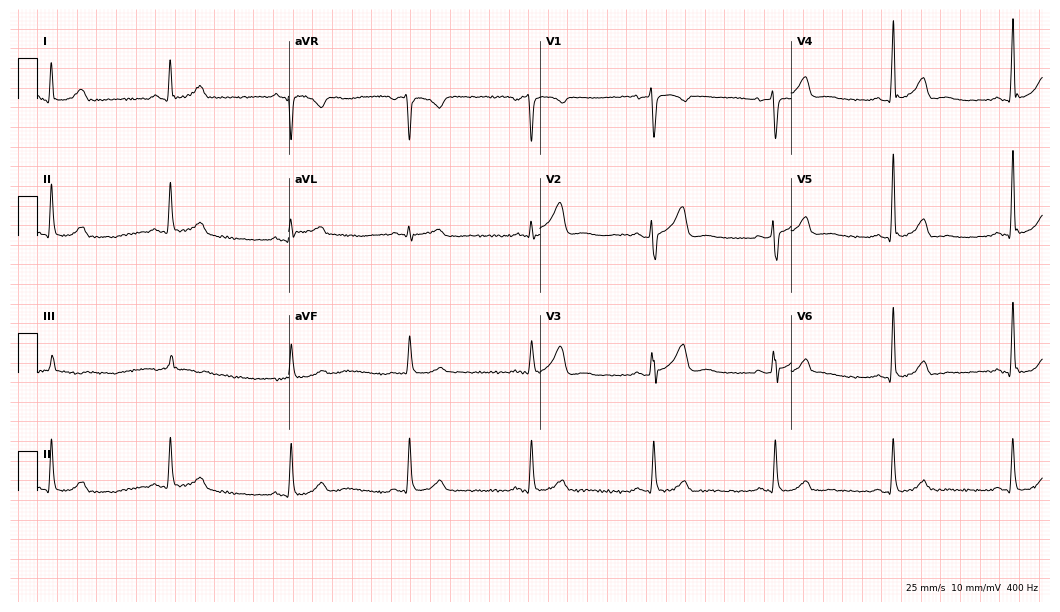
12-lead ECG (10.2-second recording at 400 Hz) from a male patient, 57 years old. Findings include sinus bradycardia (a sinus rate of 50 beats per minute or less).